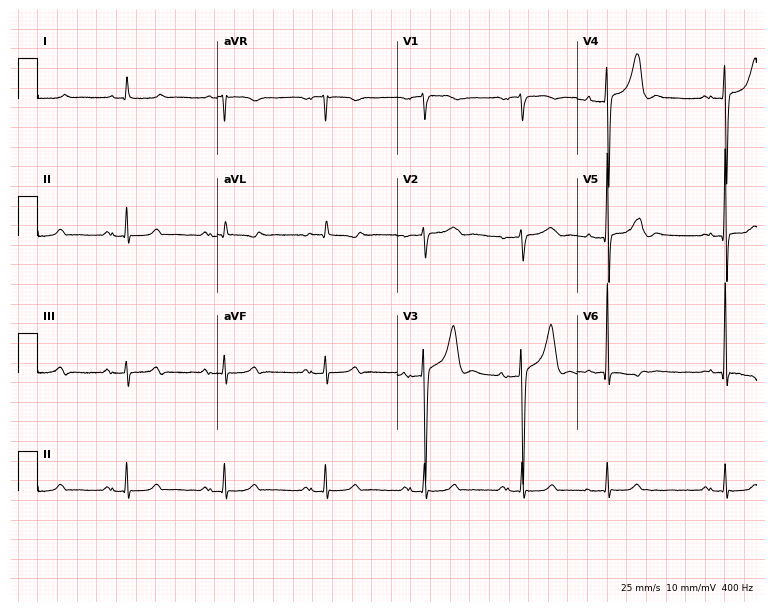
ECG — a male patient, 73 years old. Screened for six findings — first-degree AV block, right bundle branch block, left bundle branch block, sinus bradycardia, atrial fibrillation, sinus tachycardia — none is recorded.